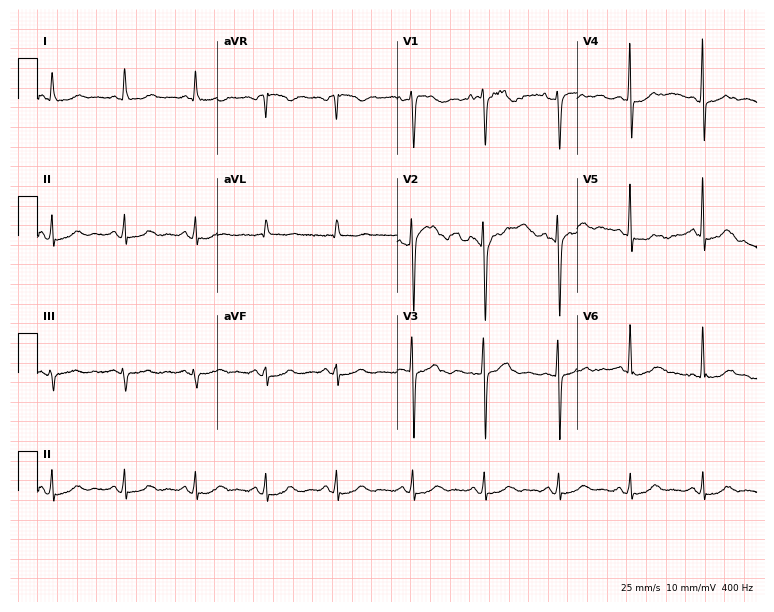
Resting 12-lead electrocardiogram (7.3-second recording at 400 Hz). Patient: a 77-year-old female. Read as a normal ECG.